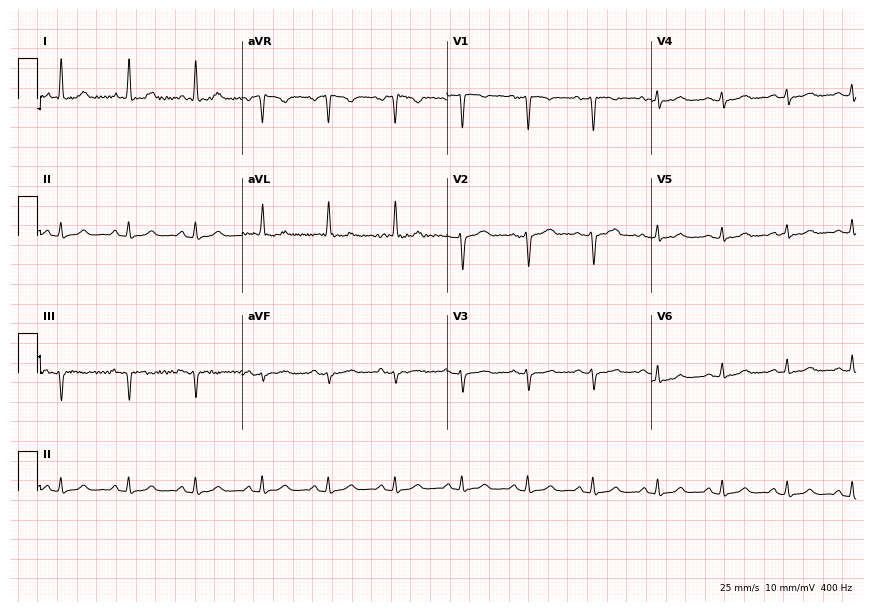
Resting 12-lead electrocardiogram. Patient: a female, 54 years old. Read as a normal ECG.